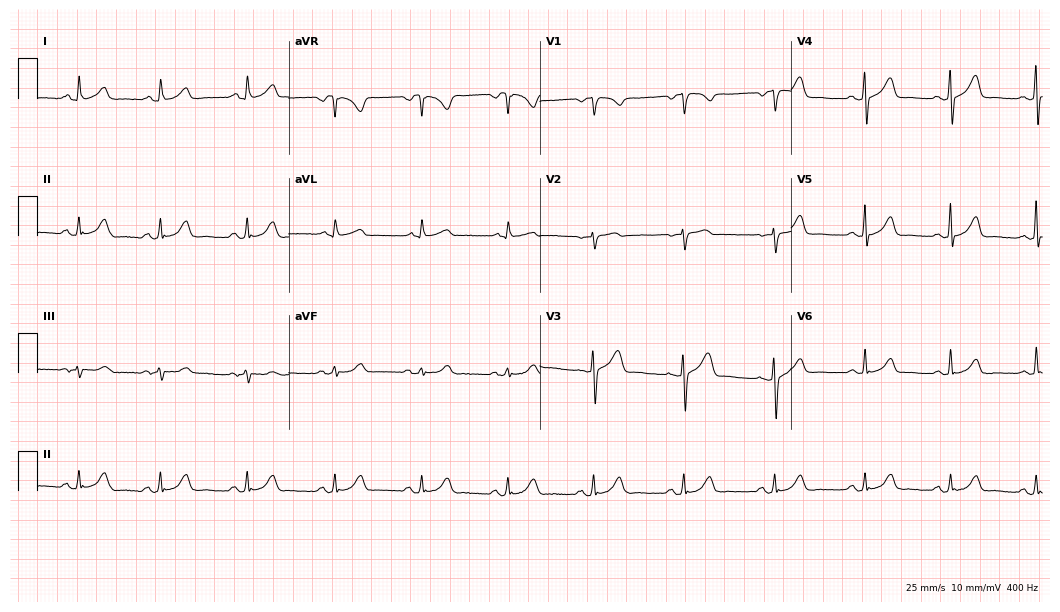
ECG — a 49-year-old female patient. Screened for six findings — first-degree AV block, right bundle branch block (RBBB), left bundle branch block (LBBB), sinus bradycardia, atrial fibrillation (AF), sinus tachycardia — none is recorded.